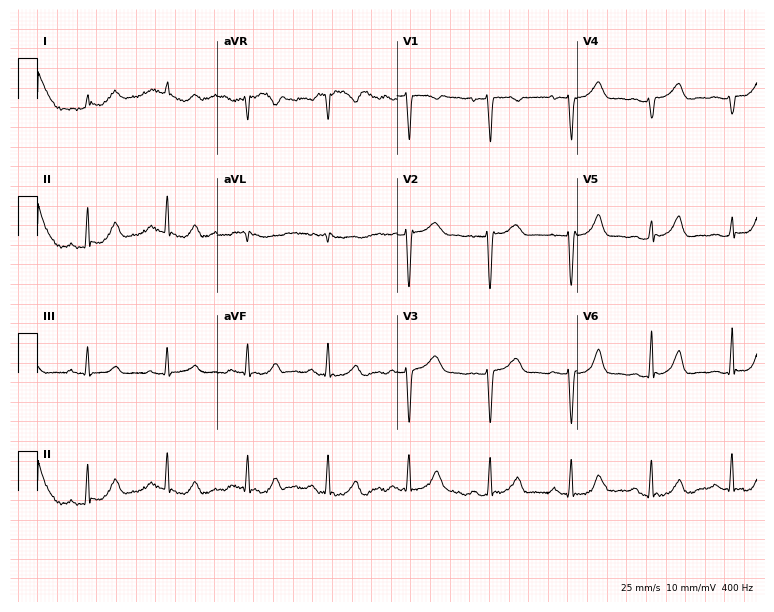
ECG (7.3-second recording at 400 Hz) — a 47-year-old woman. Labelled as a normal ECG.